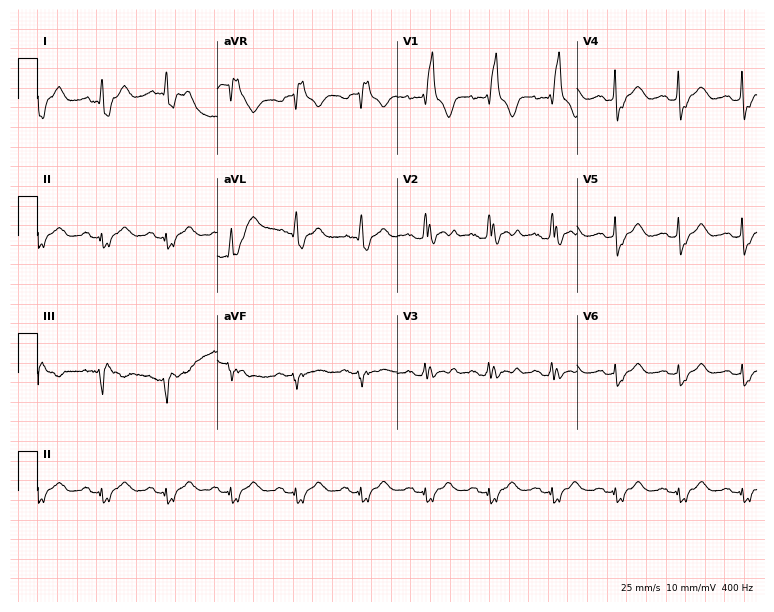
Electrocardiogram (7.3-second recording at 400 Hz), a male patient, 36 years old. Interpretation includes right bundle branch block.